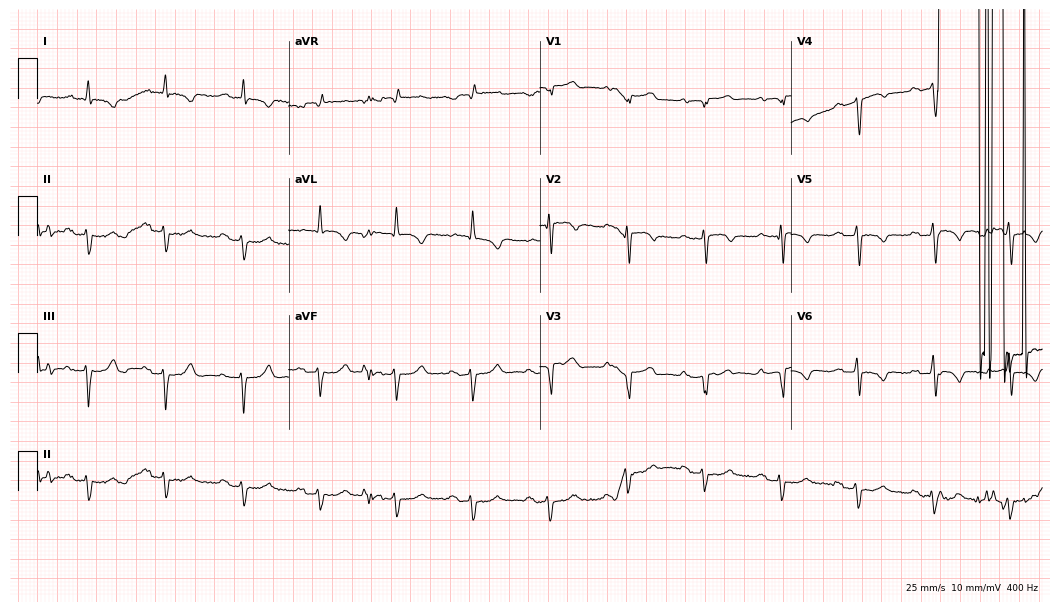
Standard 12-lead ECG recorded from a man, 67 years old. None of these six findings is recorded: first-degree AV block, right bundle branch block, left bundle branch block, sinus bradycardia, atrial fibrillation, sinus tachycardia.